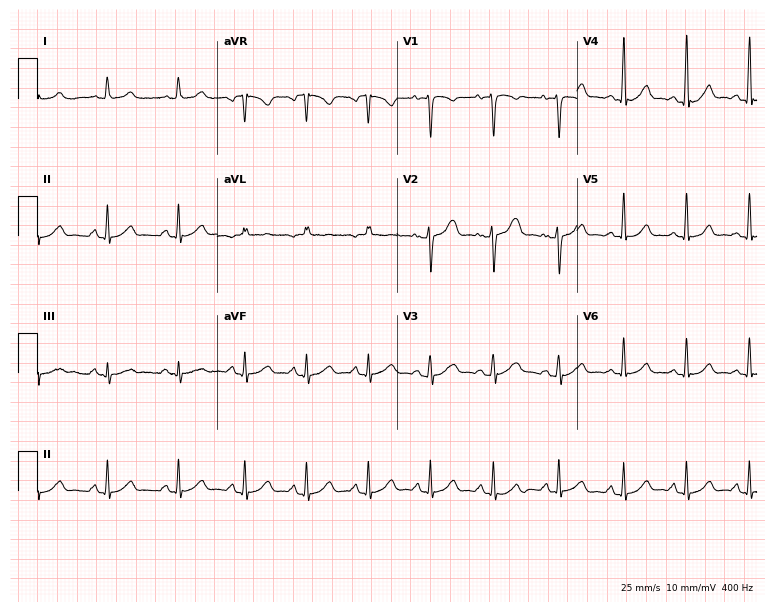
Resting 12-lead electrocardiogram. Patient: a woman, 31 years old. Read as a normal ECG.